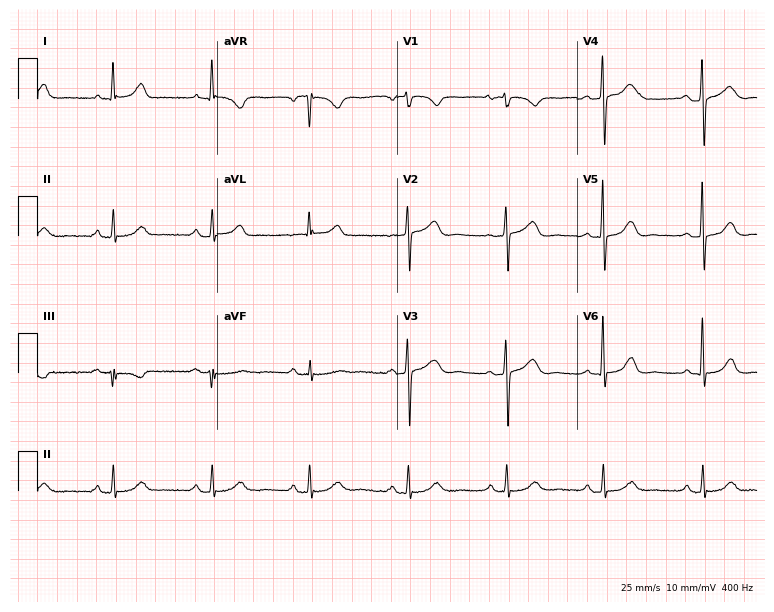
Standard 12-lead ECG recorded from a woman, 67 years old (7.3-second recording at 400 Hz). Read as a normal ECG.